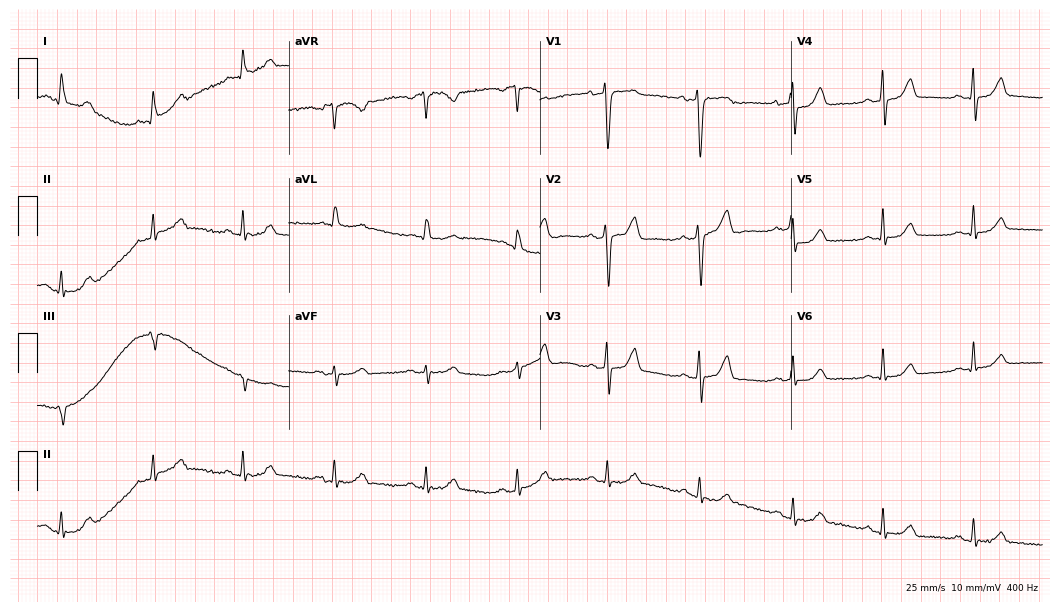
12-lead ECG from a woman, 51 years old. No first-degree AV block, right bundle branch block (RBBB), left bundle branch block (LBBB), sinus bradycardia, atrial fibrillation (AF) or sinus tachycardia recorded for this tracing.